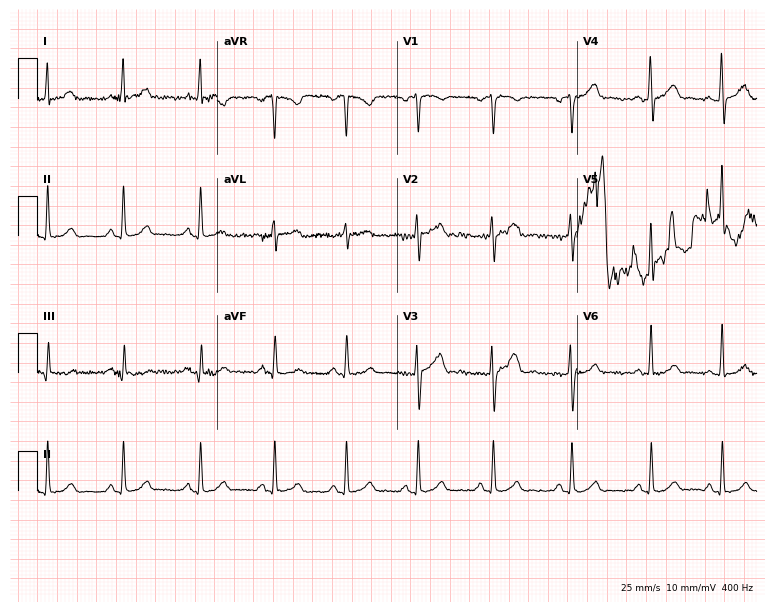
12-lead ECG from a female patient, 32 years old (7.3-second recording at 400 Hz). Recorded interpretation: within normal limits.